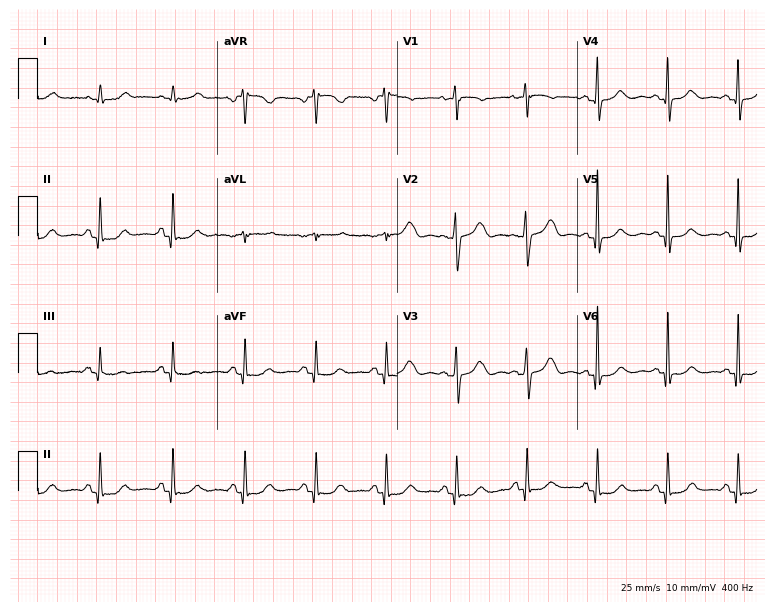
Resting 12-lead electrocardiogram. Patient: a 77-year-old female. Read as a normal ECG.